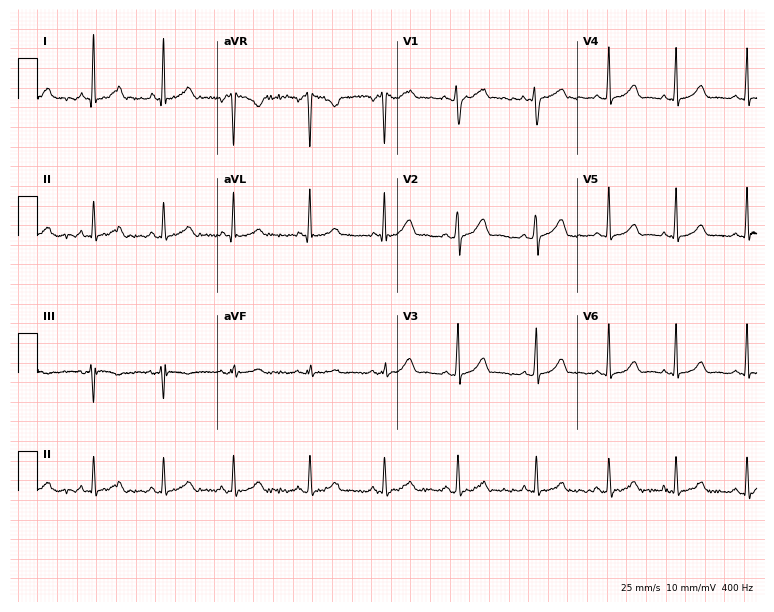
Resting 12-lead electrocardiogram. Patient: a female, 23 years old. None of these six findings is recorded: first-degree AV block, right bundle branch block, left bundle branch block, sinus bradycardia, atrial fibrillation, sinus tachycardia. Only these six findings were labelled.